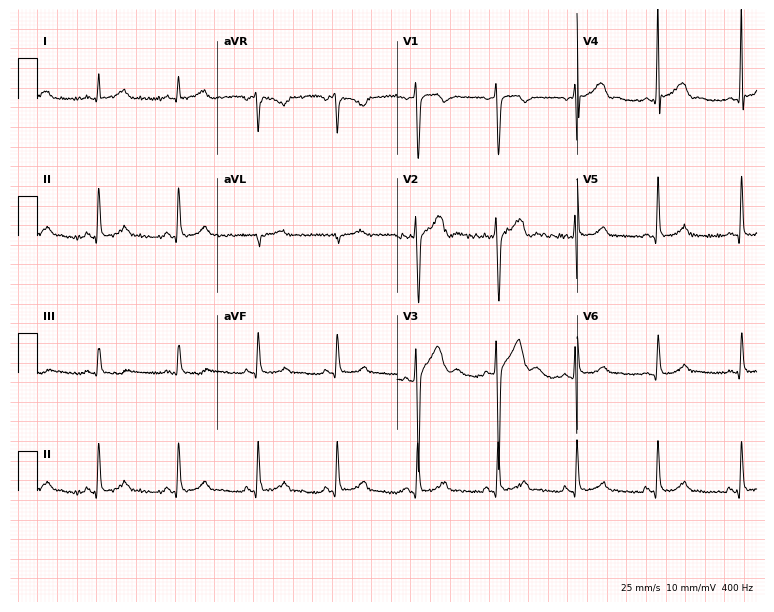
ECG — a 36-year-old male. Screened for six findings — first-degree AV block, right bundle branch block (RBBB), left bundle branch block (LBBB), sinus bradycardia, atrial fibrillation (AF), sinus tachycardia — none is recorded.